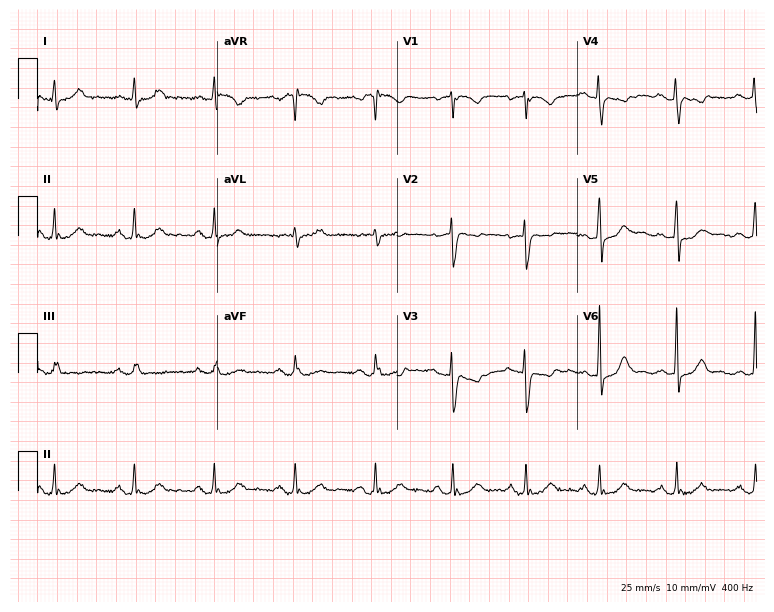
Resting 12-lead electrocardiogram (7.3-second recording at 400 Hz). Patient: a woman, 52 years old. Read as a normal ECG.